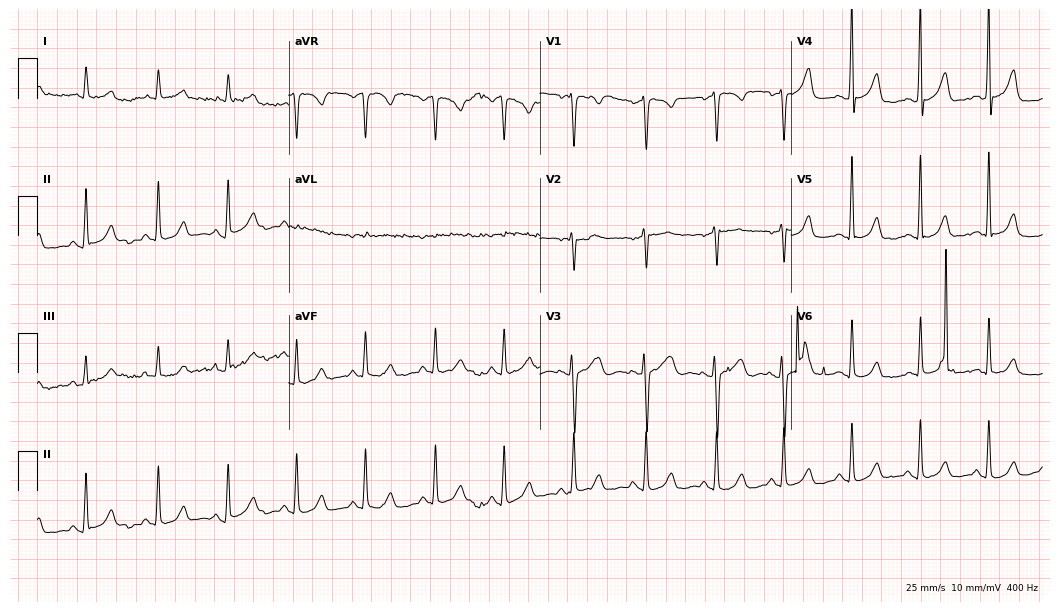
Resting 12-lead electrocardiogram (10.2-second recording at 400 Hz). Patient: a female, 48 years old. Read as a normal ECG.